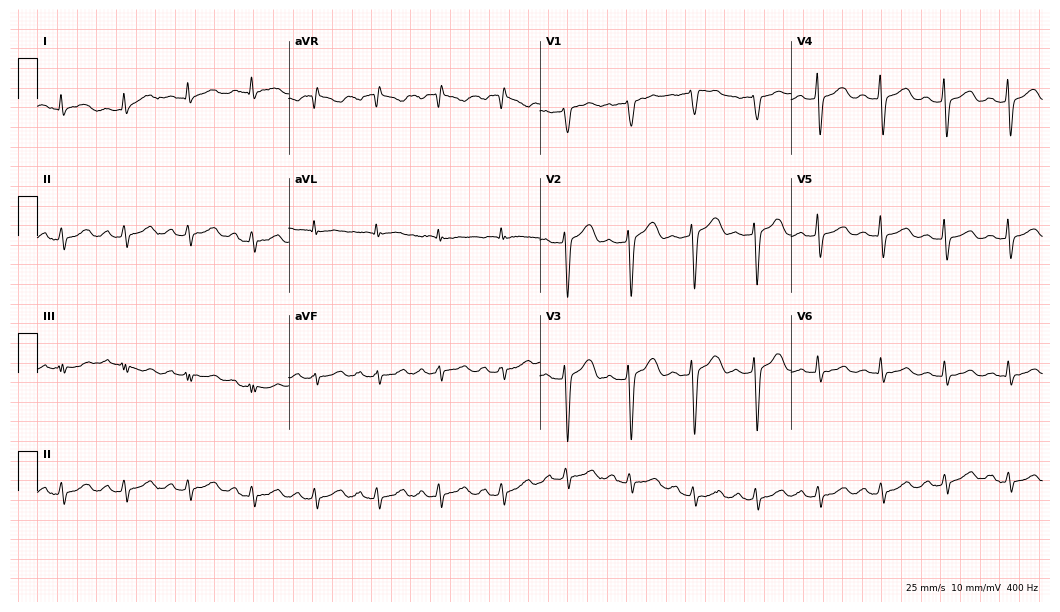
Resting 12-lead electrocardiogram (10.2-second recording at 400 Hz). Patient: a female, 56 years old. The tracing shows first-degree AV block.